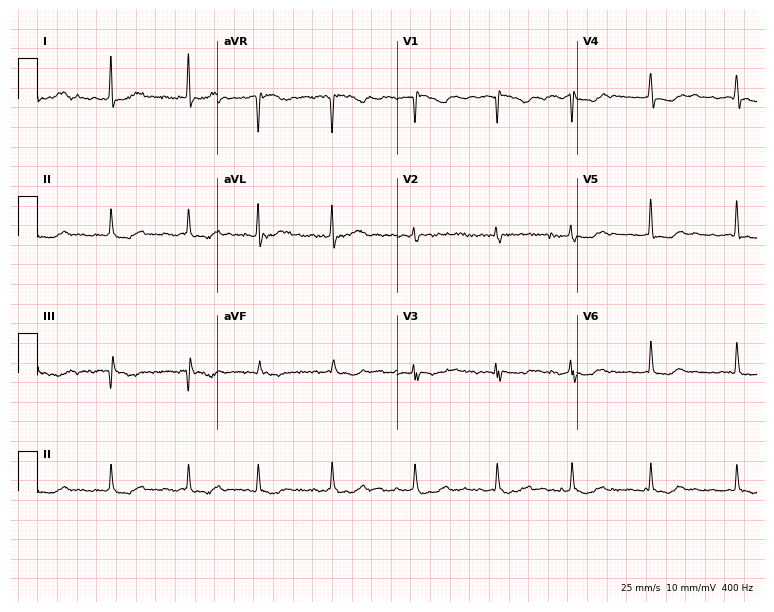
12-lead ECG from a 73-year-old female. Findings include atrial fibrillation.